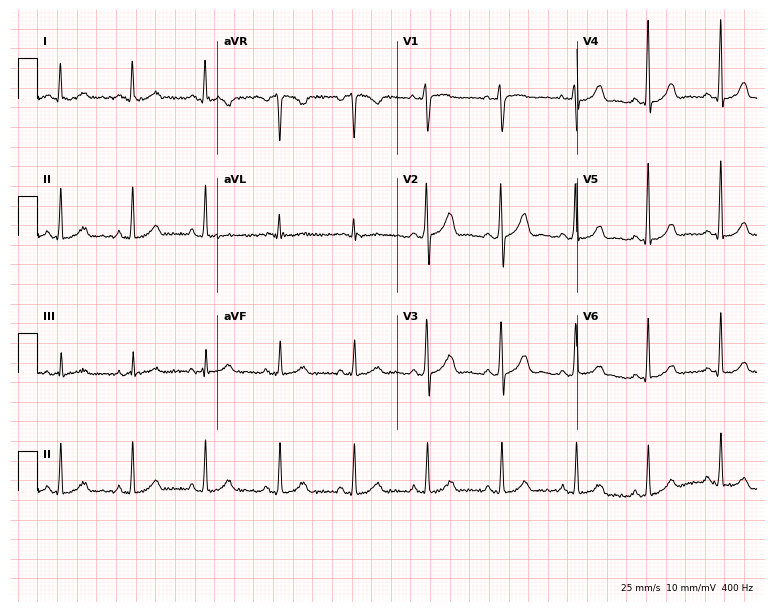
Standard 12-lead ECG recorded from a female patient, 42 years old (7.3-second recording at 400 Hz). Read as a normal ECG.